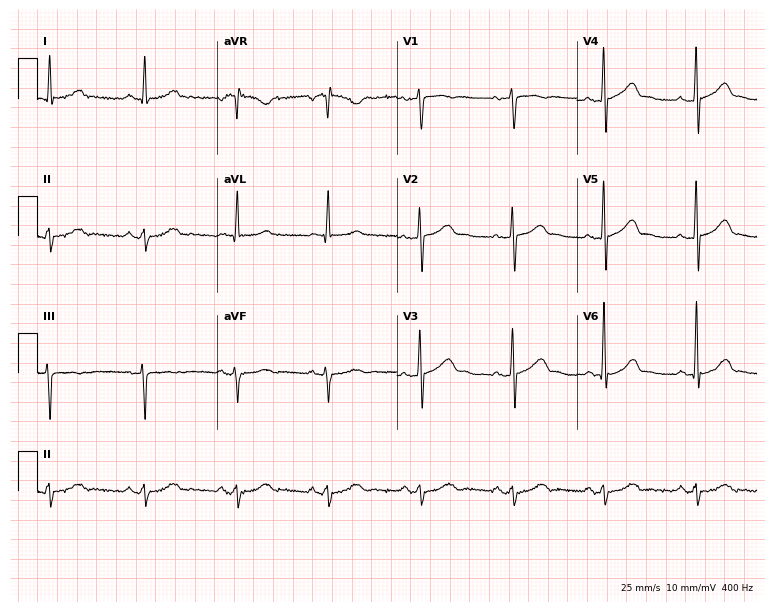
12-lead ECG from a woman, 41 years old. Recorded interpretation: within normal limits.